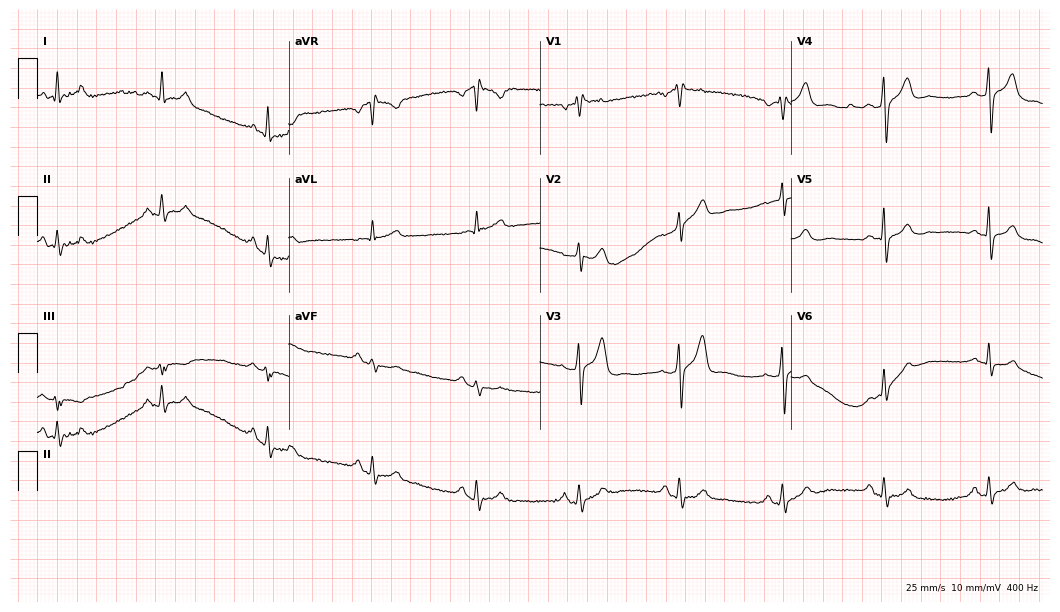
ECG (10.2-second recording at 400 Hz) — a male, 54 years old. Labelled as a normal ECG.